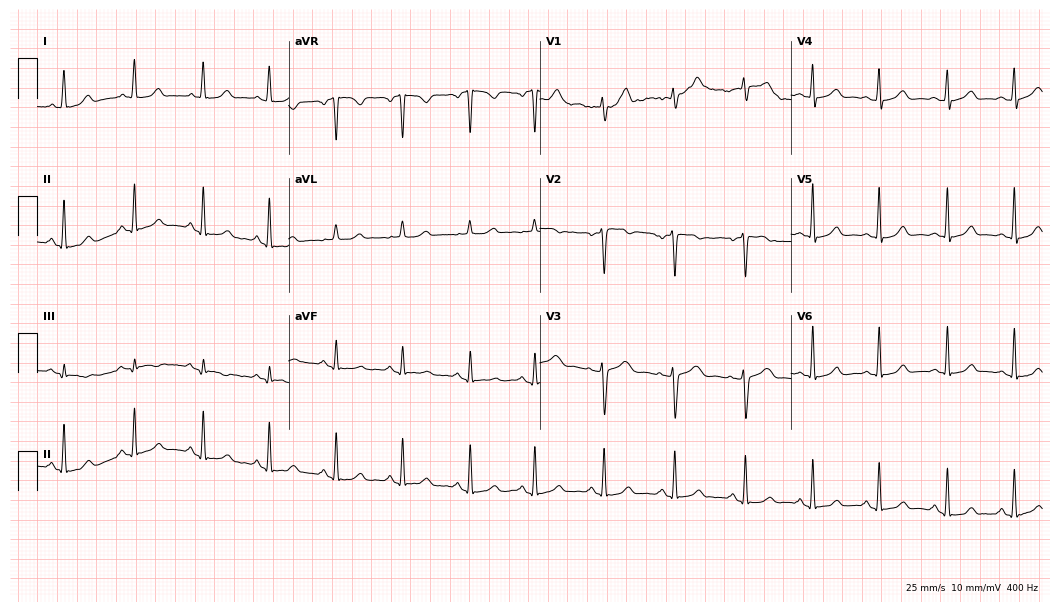
Electrocardiogram, a woman, 39 years old. Overall reading on record: normal ECG.